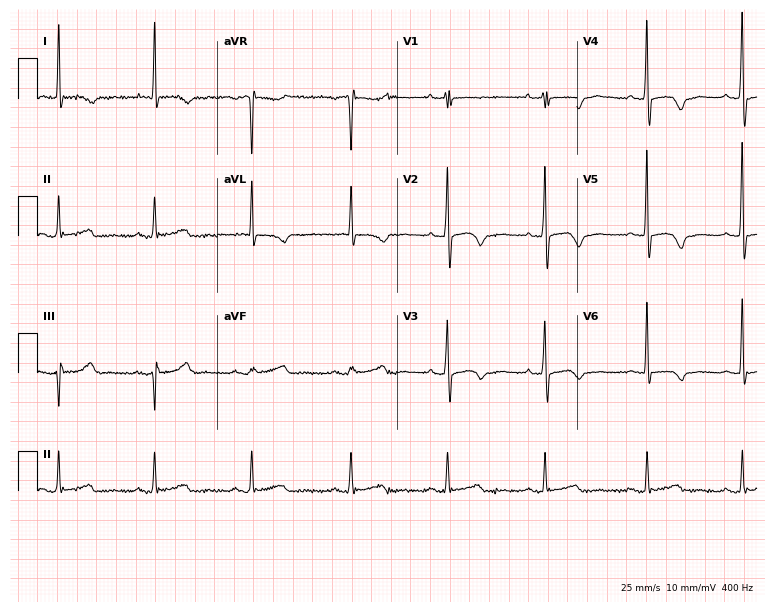
Standard 12-lead ECG recorded from a female, 73 years old. None of these six findings is recorded: first-degree AV block, right bundle branch block, left bundle branch block, sinus bradycardia, atrial fibrillation, sinus tachycardia. Other findings, if any, are not listed.